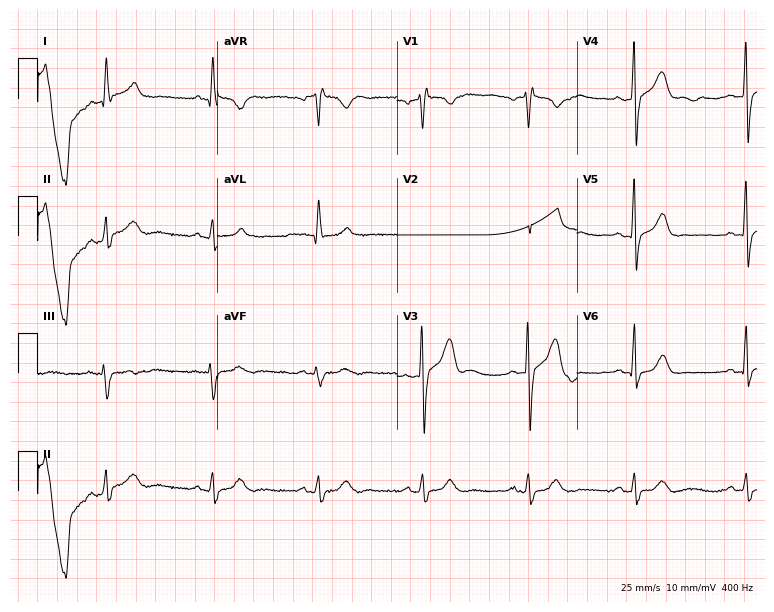
Electrocardiogram (7.3-second recording at 400 Hz), a 73-year-old male. Of the six screened findings (first-degree AV block, right bundle branch block (RBBB), left bundle branch block (LBBB), sinus bradycardia, atrial fibrillation (AF), sinus tachycardia), none is recorded. Other findings, if any, are not listed.